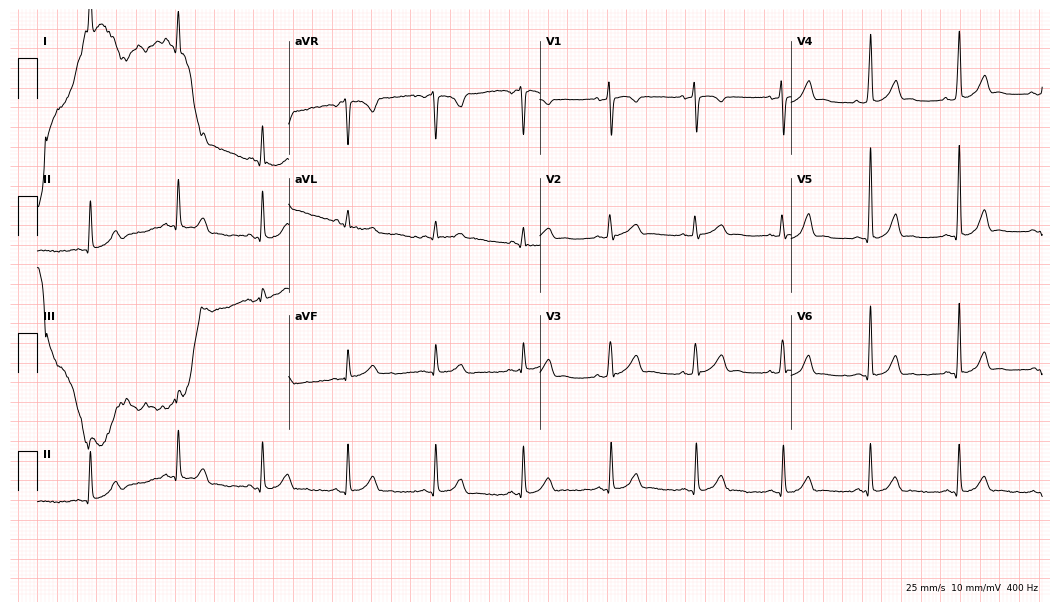
12-lead ECG (10.2-second recording at 400 Hz) from a 34-year-old female. Screened for six findings — first-degree AV block, right bundle branch block (RBBB), left bundle branch block (LBBB), sinus bradycardia, atrial fibrillation (AF), sinus tachycardia — none is recorded. Other findings, if any, are not listed.